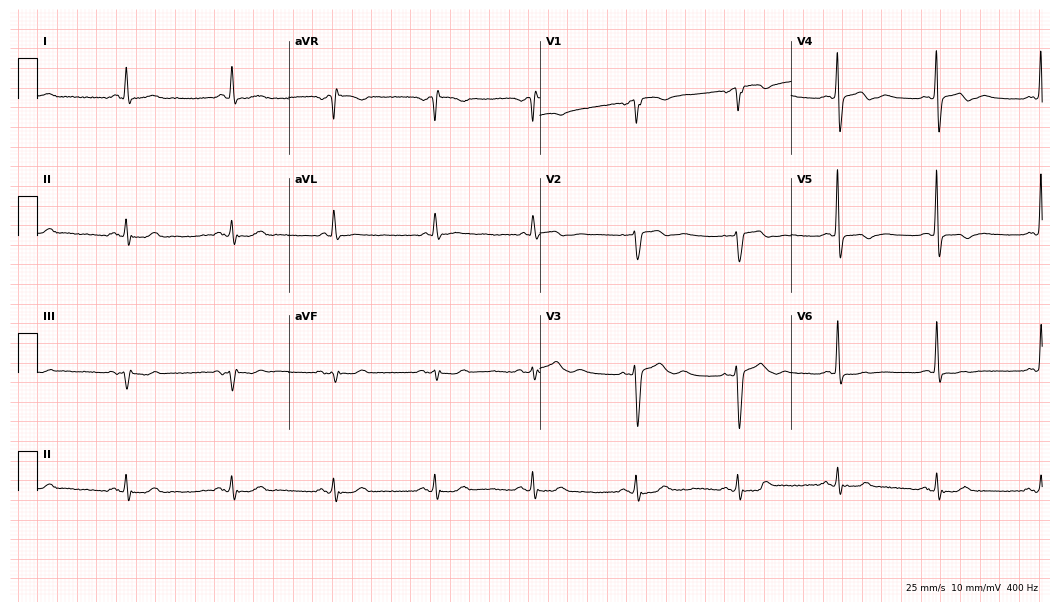
12-lead ECG from a female, 79 years old. Screened for six findings — first-degree AV block, right bundle branch block, left bundle branch block, sinus bradycardia, atrial fibrillation, sinus tachycardia — none is recorded.